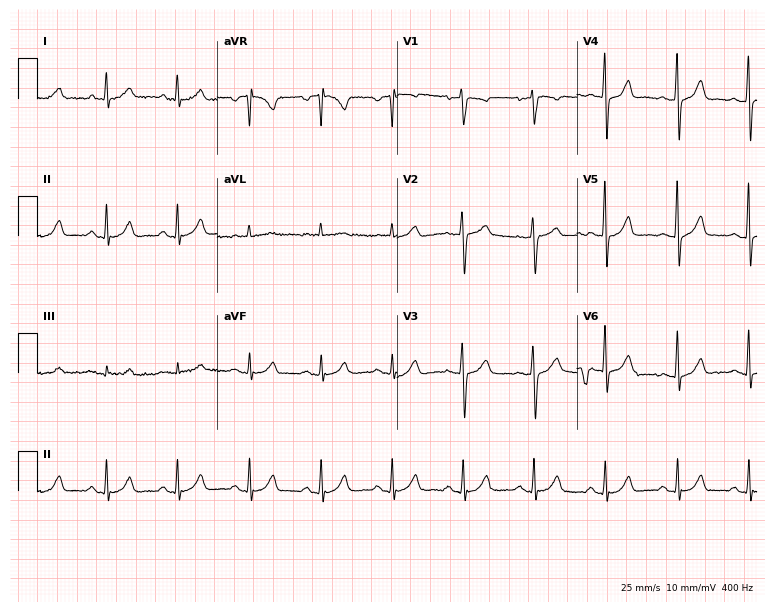
ECG — a 65-year-old female patient. Labelled as a normal ECG.